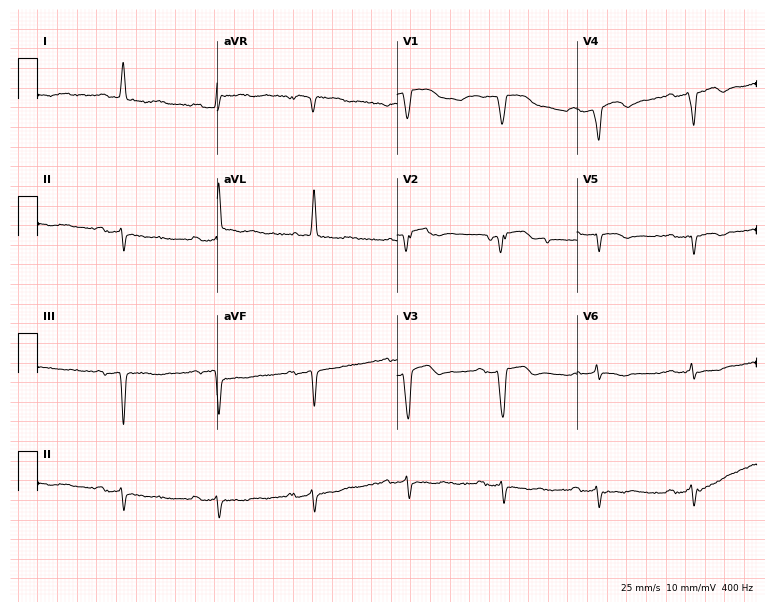
Electrocardiogram, a man, 75 years old. Interpretation includes first-degree AV block.